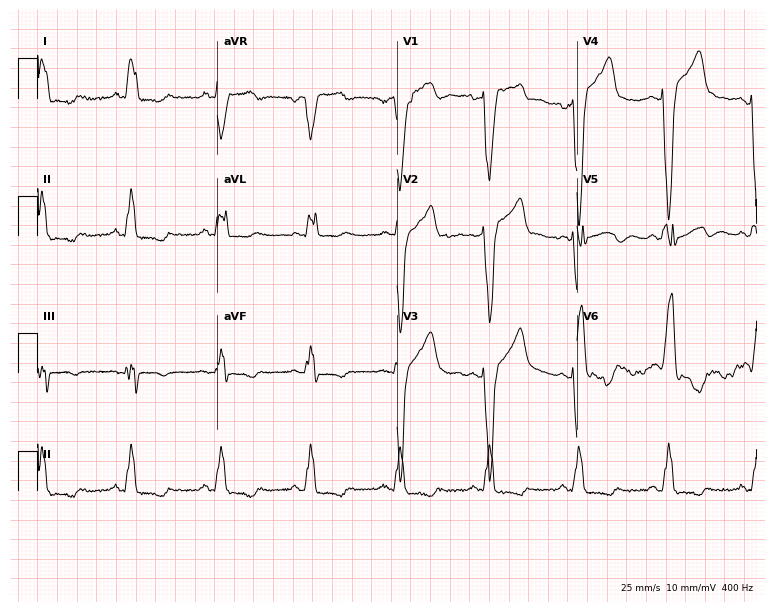
Resting 12-lead electrocardiogram (7.3-second recording at 400 Hz). Patient: a female, 48 years old. The tracing shows left bundle branch block.